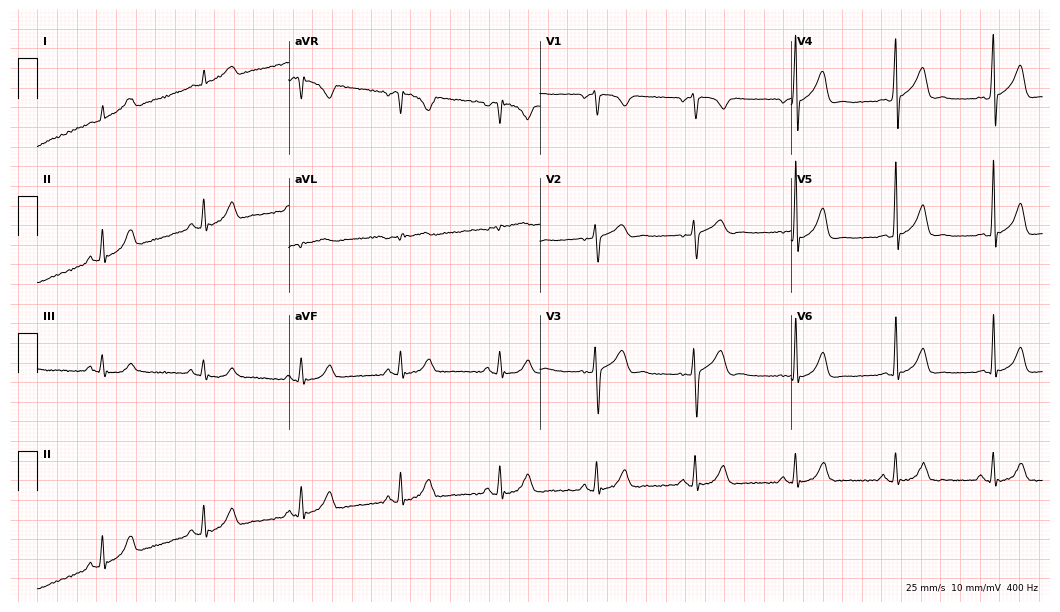
12-lead ECG (10.2-second recording at 400 Hz) from a man, 58 years old. Labelled as a normal ECG.